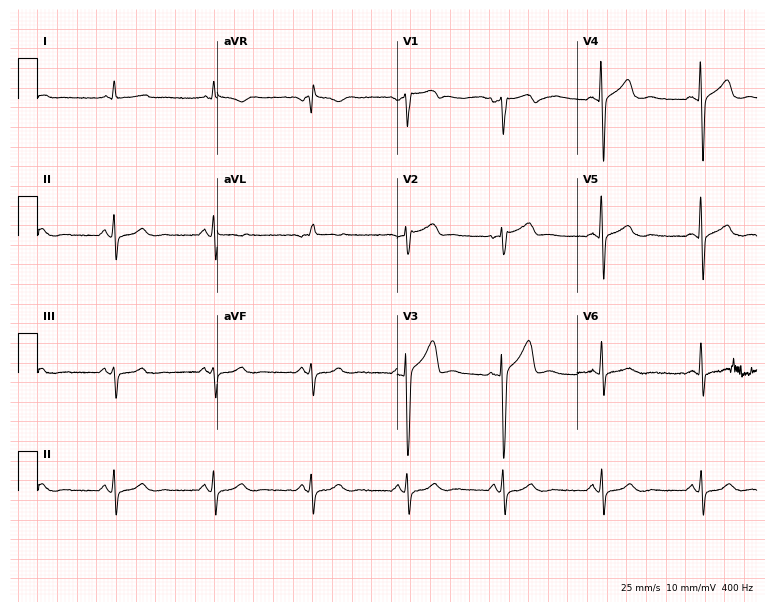
Electrocardiogram, a male, 54 years old. Of the six screened findings (first-degree AV block, right bundle branch block, left bundle branch block, sinus bradycardia, atrial fibrillation, sinus tachycardia), none is recorded.